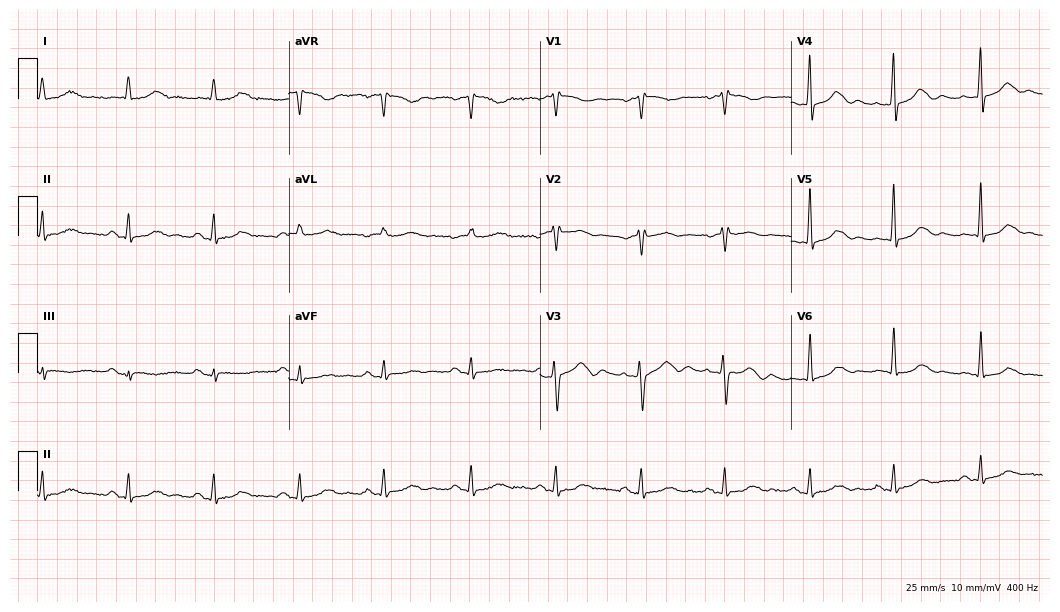
Standard 12-lead ECG recorded from a 46-year-old female patient. None of these six findings is recorded: first-degree AV block, right bundle branch block, left bundle branch block, sinus bradycardia, atrial fibrillation, sinus tachycardia. Findings outside these six are not listed.